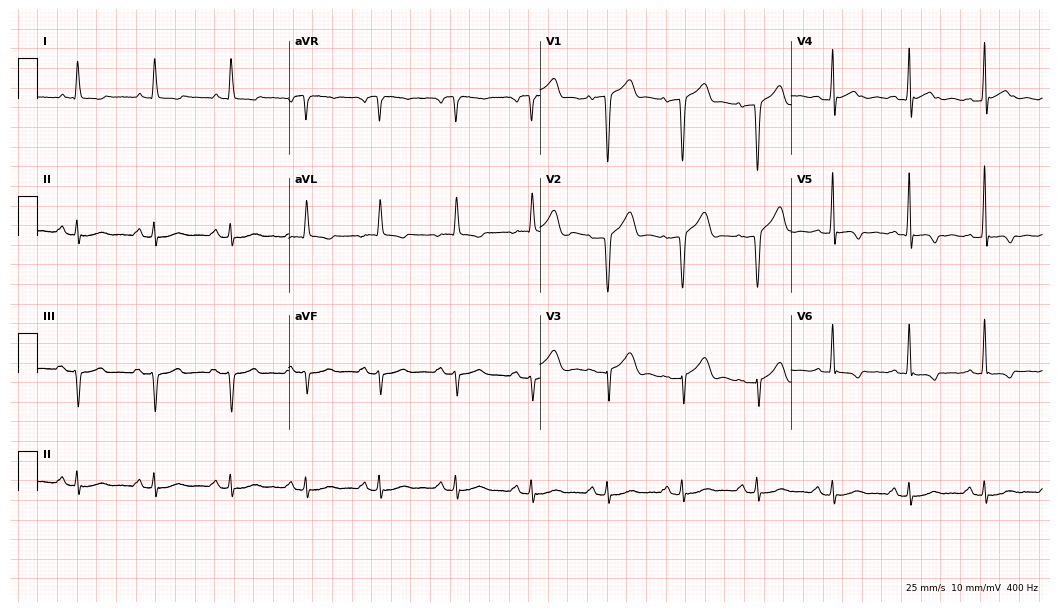
Resting 12-lead electrocardiogram. Patient: a male, 79 years old. None of these six findings is recorded: first-degree AV block, right bundle branch block, left bundle branch block, sinus bradycardia, atrial fibrillation, sinus tachycardia. Only these six findings were labelled.